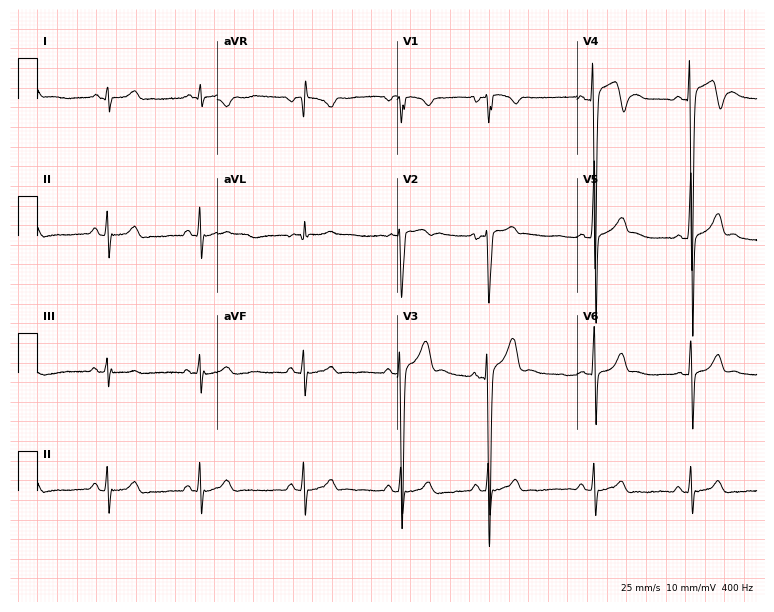
ECG — a male, 17 years old. Screened for six findings — first-degree AV block, right bundle branch block, left bundle branch block, sinus bradycardia, atrial fibrillation, sinus tachycardia — none is recorded.